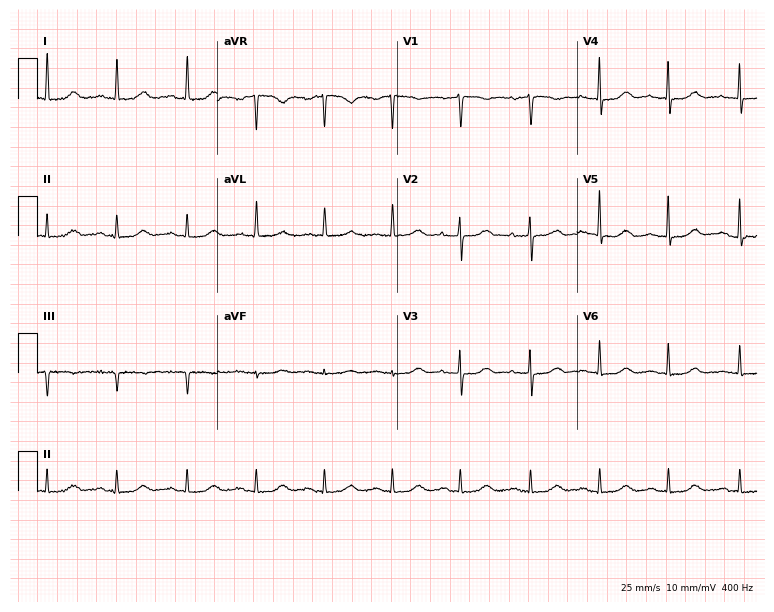
Standard 12-lead ECG recorded from a female patient, 74 years old (7.3-second recording at 400 Hz). Read as a normal ECG.